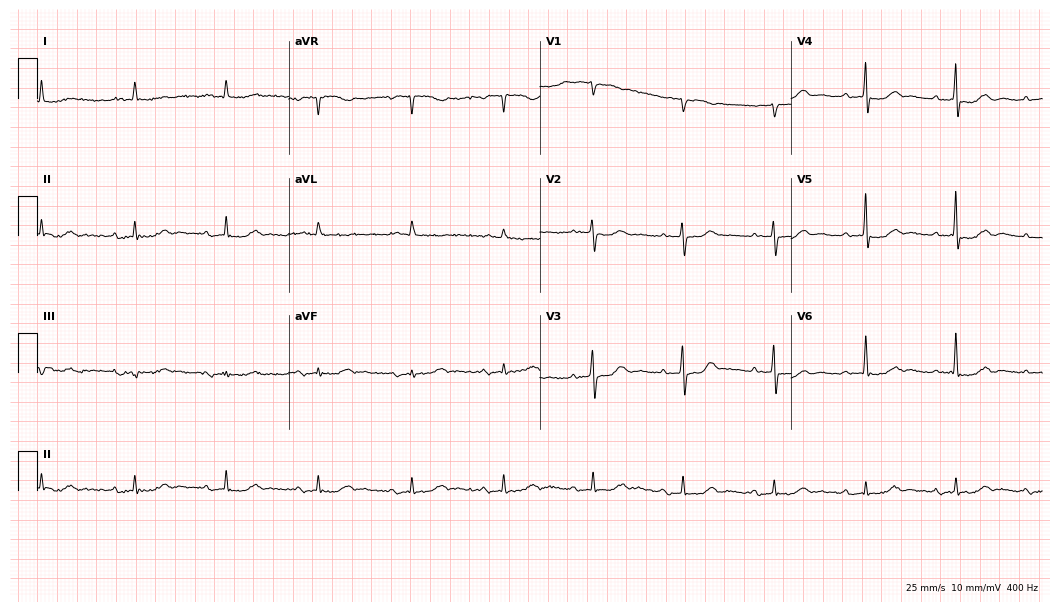
ECG (10.2-second recording at 400 Hz) — an 83-year-old male. Findings include first-degree AV block.